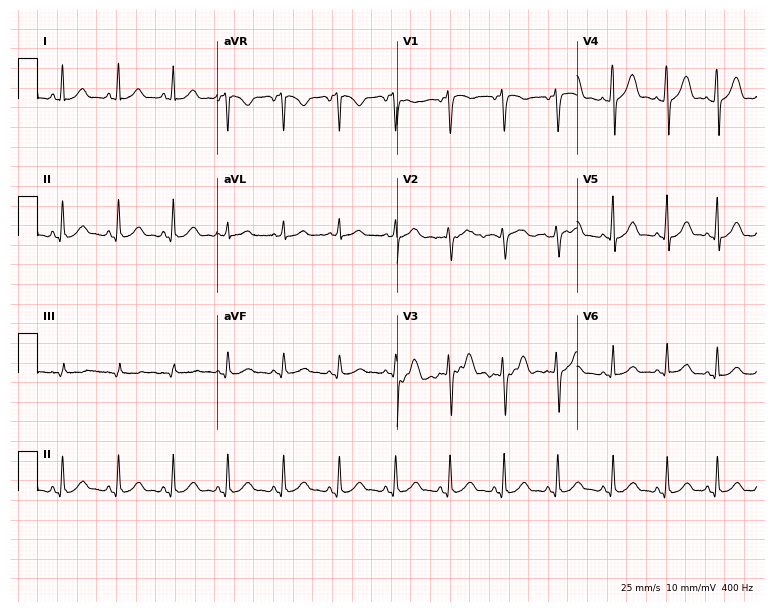
12-lead ECG from a female, 33 years old (7.3-second recording at 400 Hz). Shows sinus tachycardia (a sinus rate of 100 beats per minute or more).